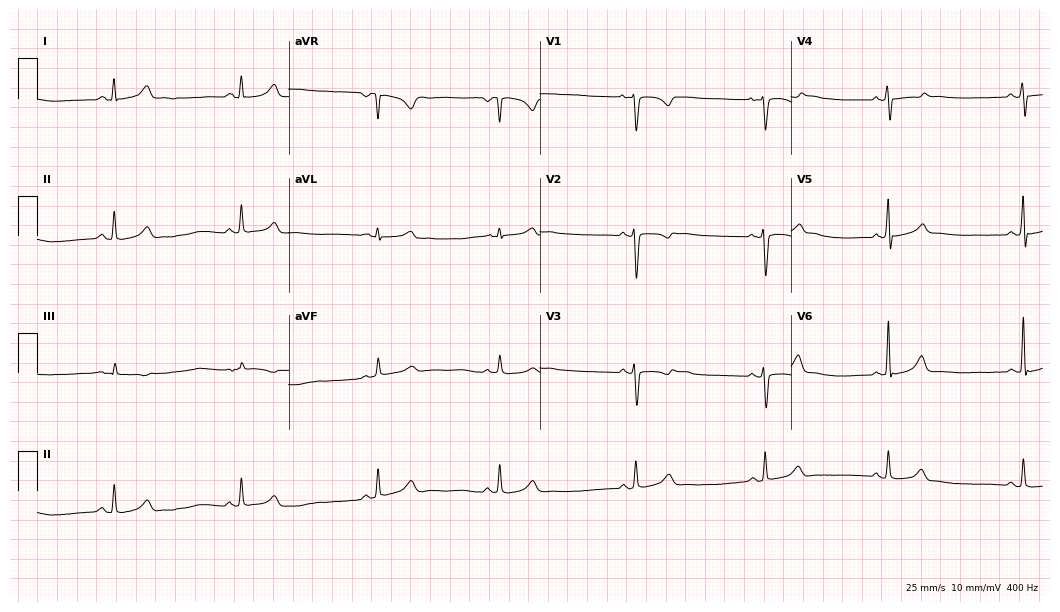
ECG — a 31-year-old woman. Findings include sinus bradycardia (a sinus rate of 50 beats per minute or less).